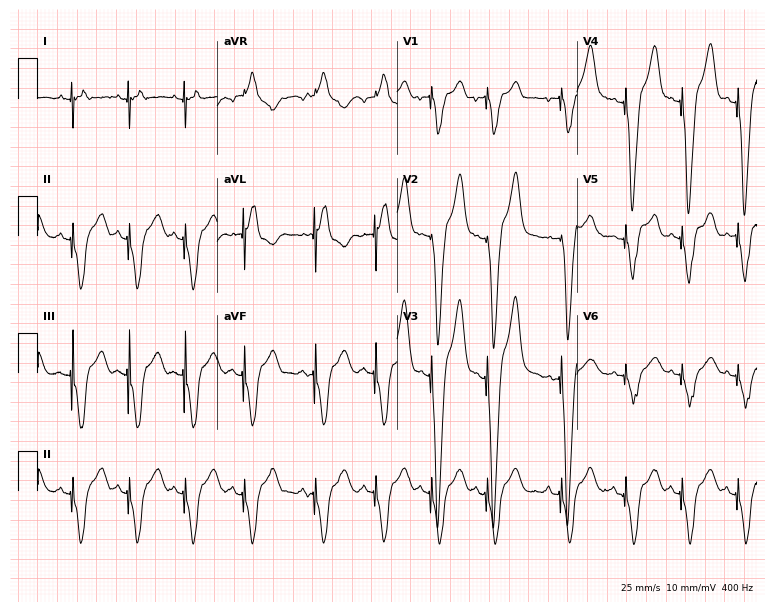
Electrocardiogram, a male, 59 years old. Of the six screened findings (first-degree AV block, right bundle branch block, left bundle branch block, sinus bradycardia, atrial fibrillation, sinus tachycardia), none is recorded. Findings outside these six are not listed.